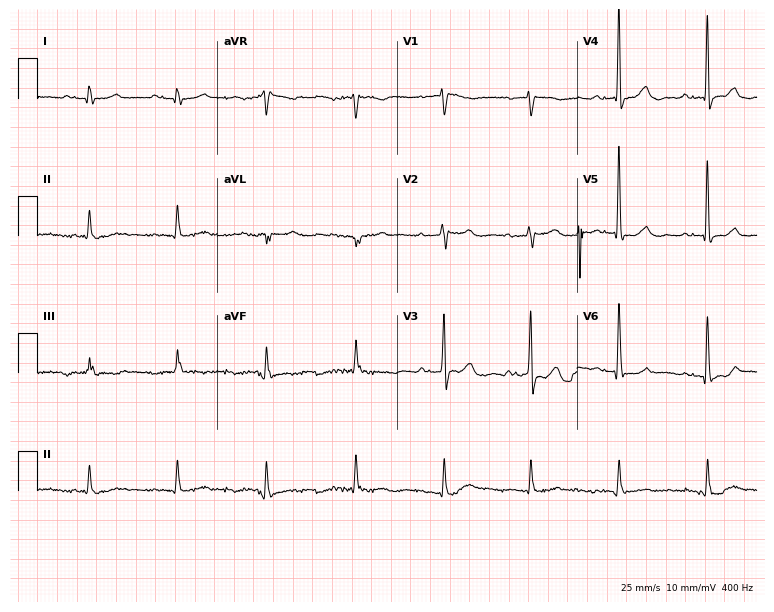
12-lead ECG from a man, 76 years old. Recorded interpretation: within normal limits.